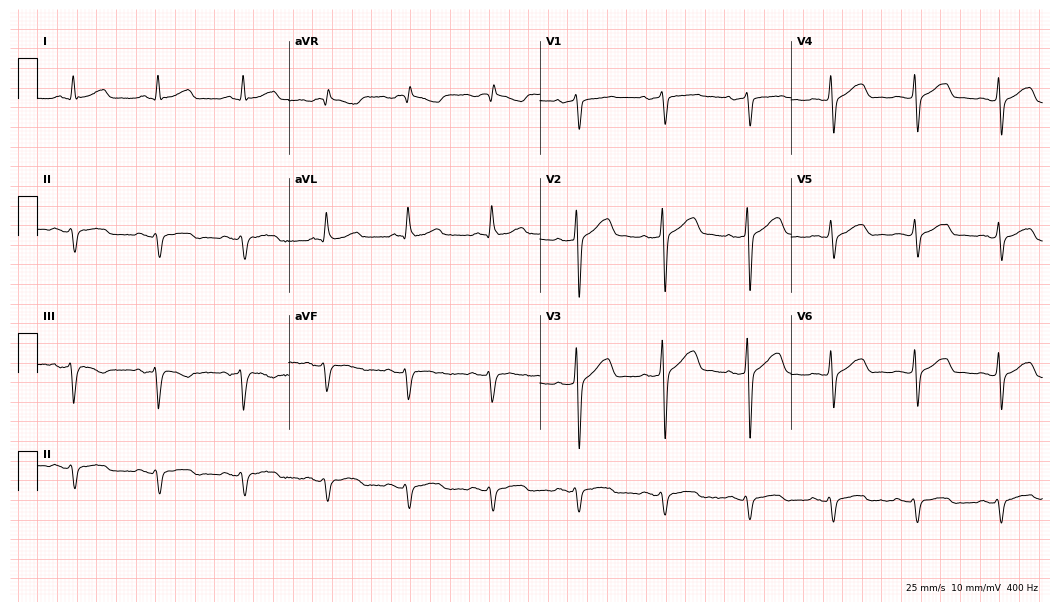
Electrocardiogram, a 53-year-old male patient. Of the six screened findings (first-degree AV block, right bundle branch block (RBBB), left bundle branch block (LBBB), sinus bradycardia, atrial fibrillation (AF), sinus tachycardia), none is recorded.